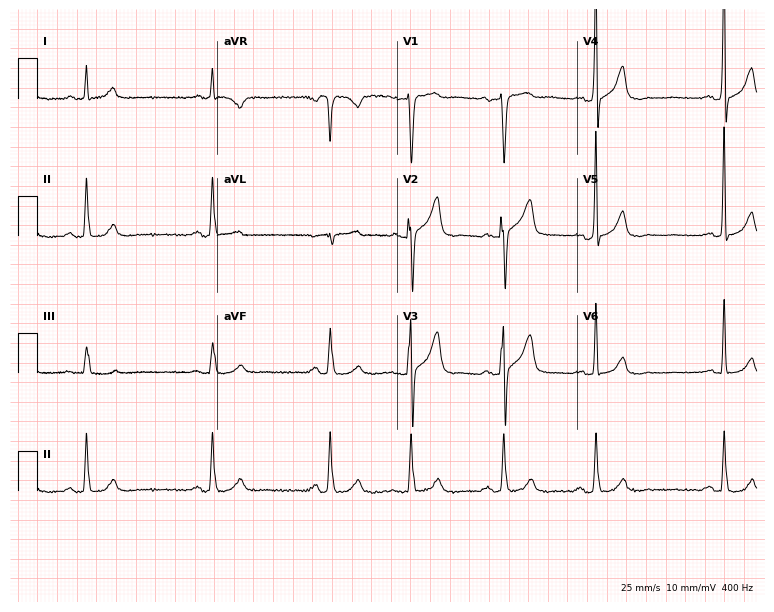
Electrocardiogram, a 62-year-old male patient. Of the six screened findings (first-degree AV block, right bundle branch block (RBBB), left bundle branch block (LBBB), sinus bradycardia, atrial fibrillation (AF), sinus tachycardia), none is recorded.